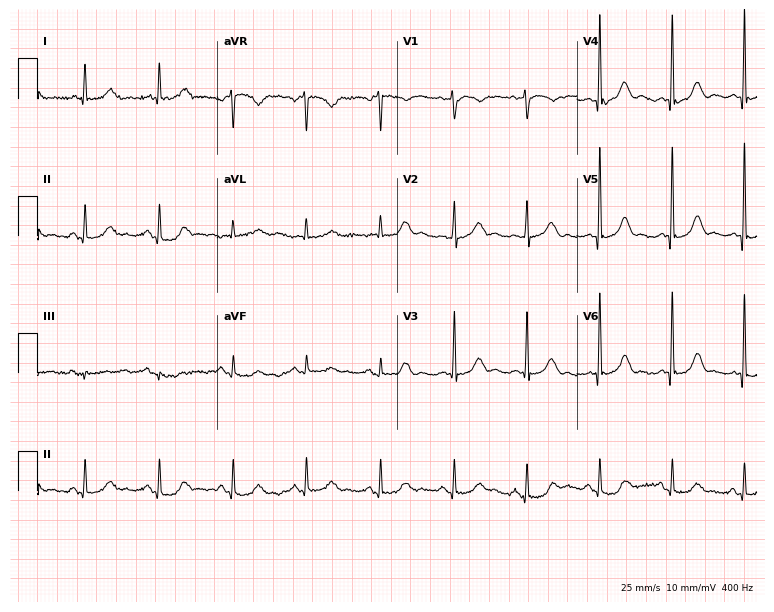
12-lead ECG from a female, 78 years old (7.3-second recording at 400 Hz). No first-degree AV block, right bundle branch block (RBBB), left bundle branch block (LBBB), sinus bradycardia, atrial fibrillation (AF) or sinus tachycardia recorded for this tracing.